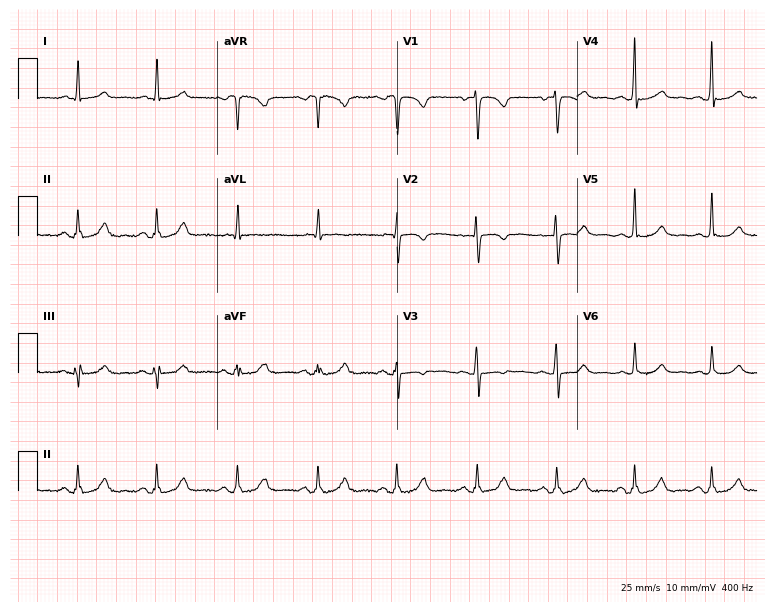
ECG — a 40-year-old female patient. Labelled as a normal ECG.